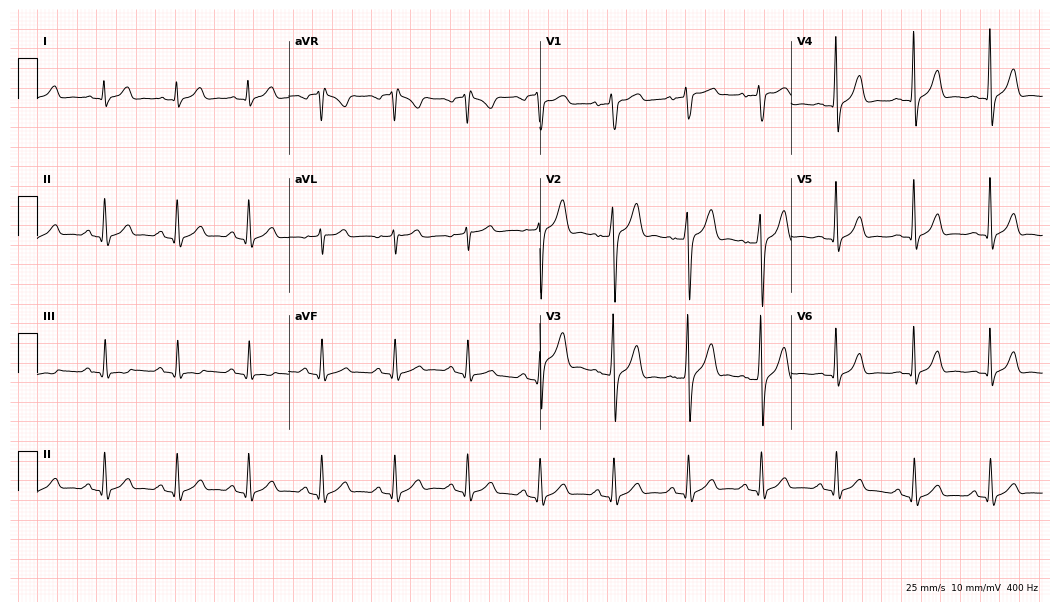
12-lead ECG from a male patient, 22 years old (10.2-second recording at 400 Hz). Recorded interpretation: within normal limits.